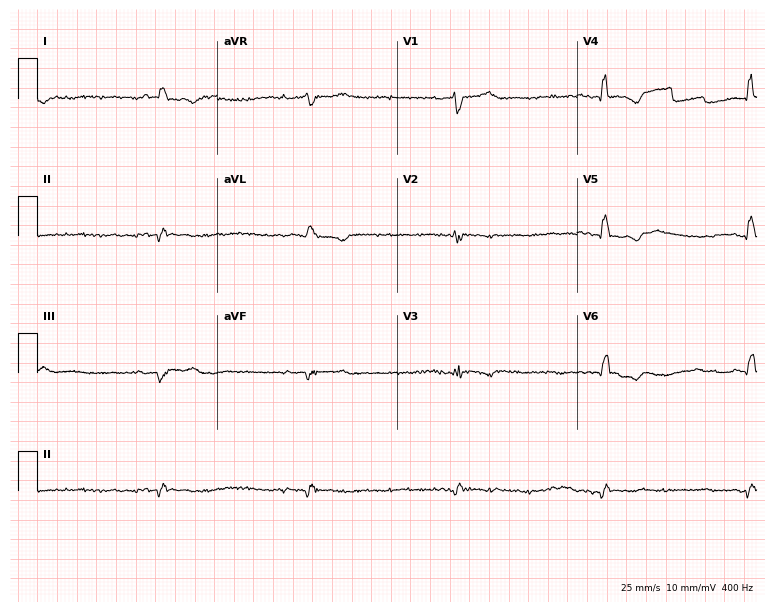
Resting 12-lead electrocardiogram (7.3-second recording at 400 Hz). Patient: a 67-year-old man. The tracing shows sinus bradycardia (a sinus rate of 50 beats per minute or less), atrial fibrillation.